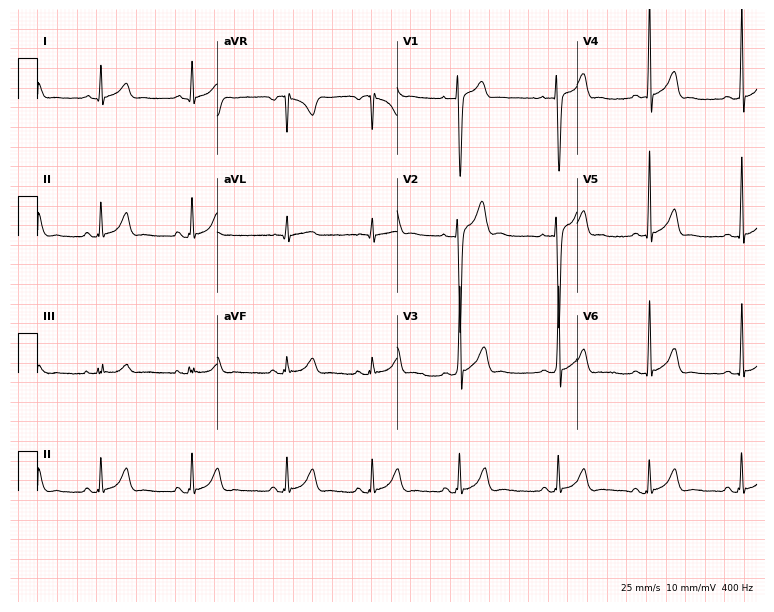
Electrocardiogram, a 17-year-old male. Overall reading on record: normal ECG.